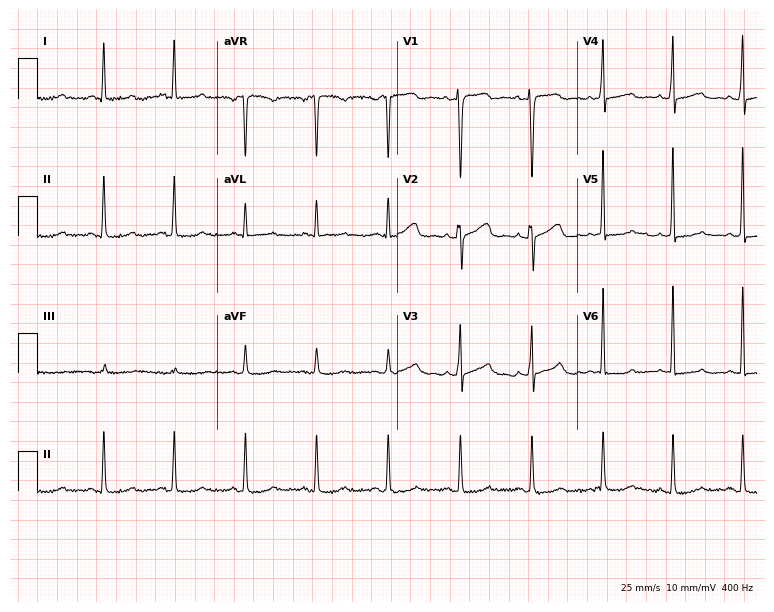
Resting 12-lead electrocardiogram (7.3-second recording at 400 Hz). Patient: a female, 44 years old. None of these six findings is recorded: first-degree AV block, right bundle branch block, left bundle branch block, sinus bradycardia, atrial fibrillation, sinus tachycardia. Only these six findings were labelled.